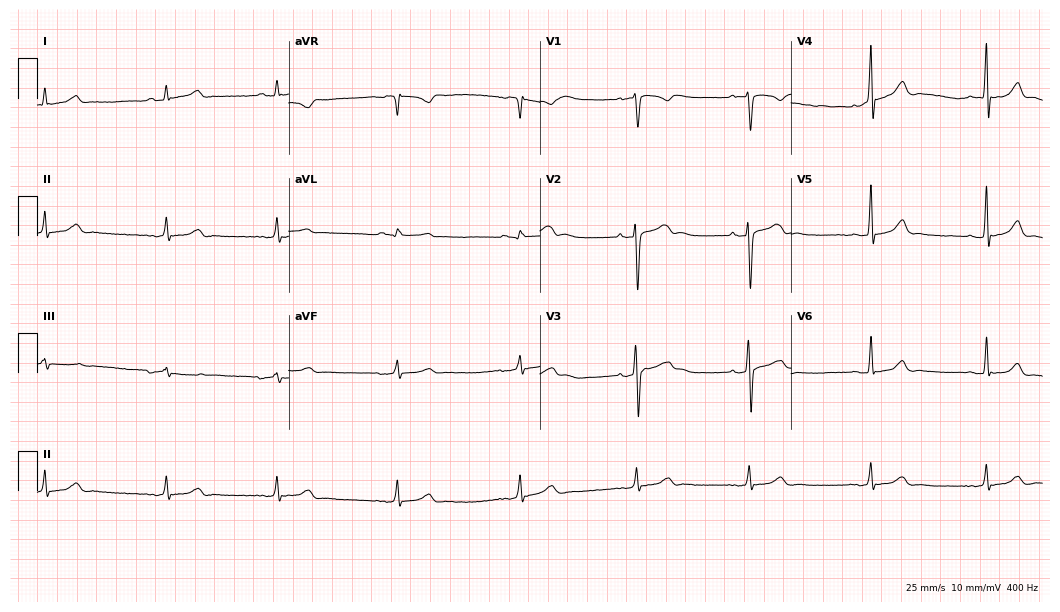
Electrocardiogram, a male patient, 30 years old. Overall reading on record: normal ECG.